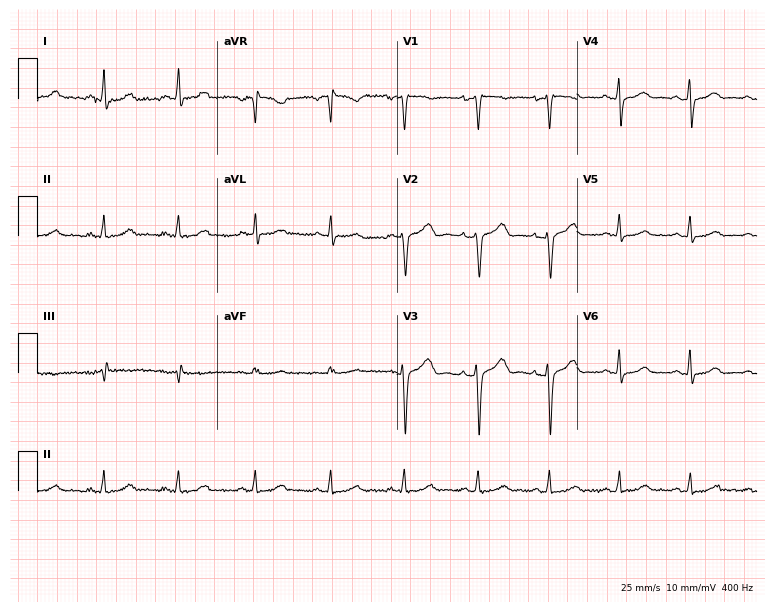
Resting 12-lead electrocardiogram. Patient: a 32-year-old female. Read as a normal ECG.